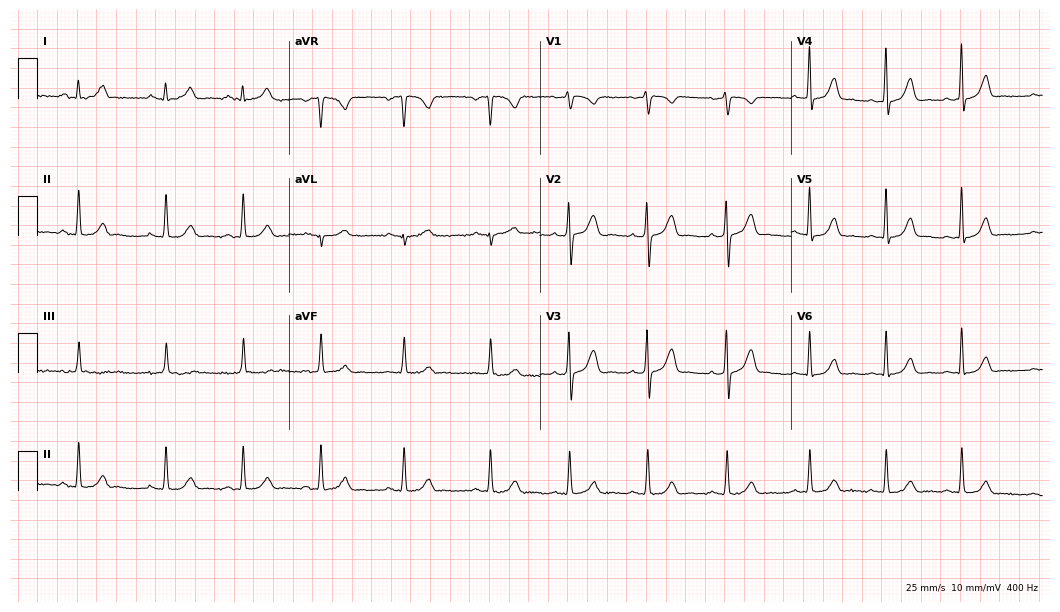
12-lead ECG (10.2-second recording at 400 Hz) from a woman, 21 years old. Screened for six findings — first-degree AV block, right bundle branch block, left bundle branch block, sinus bradycardia, atrial fibrillation, sinus tachycardia — none is recorded.